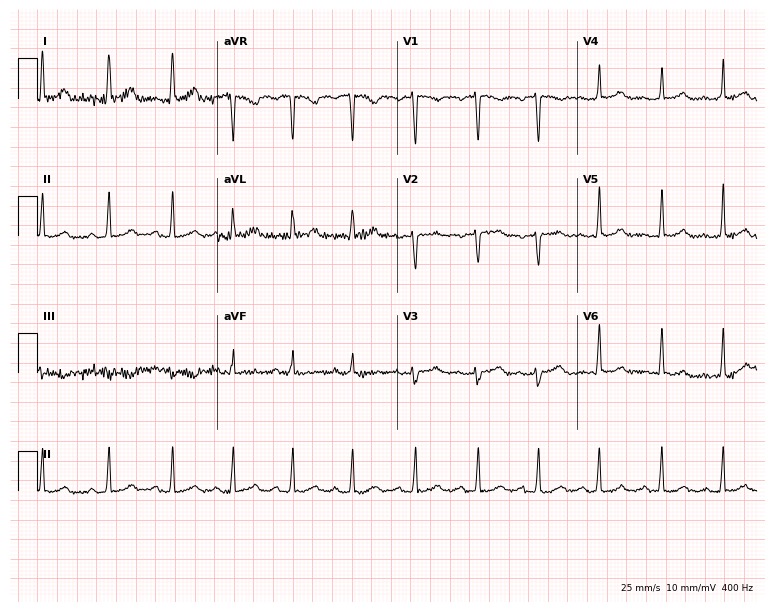
12-lead ECG (7.3-second recording at 400 Hz) from a female, 26 years old. Labelled as a normal ECG.